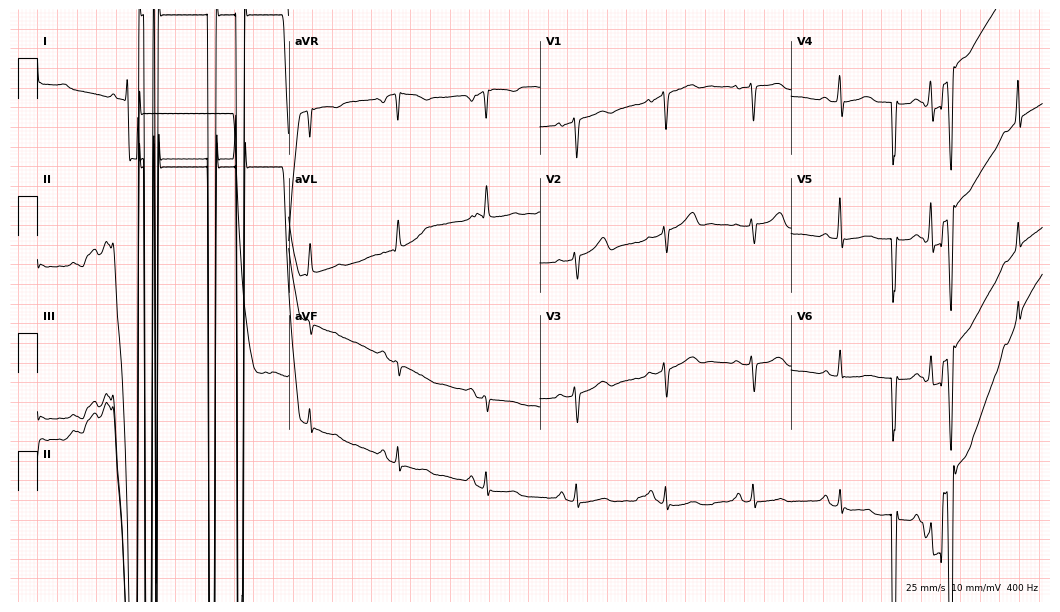
12-lead ECG (10.2-second recording at 400 Hz) from a female patient, 61 years old. Screened for six findings — first-degree AV block, right bundle branch block (RBBB), left bundle branch block (LBBB), sinus bradycardia, atrial fibrillation (AF), sinus tachycardia — none is recorded.